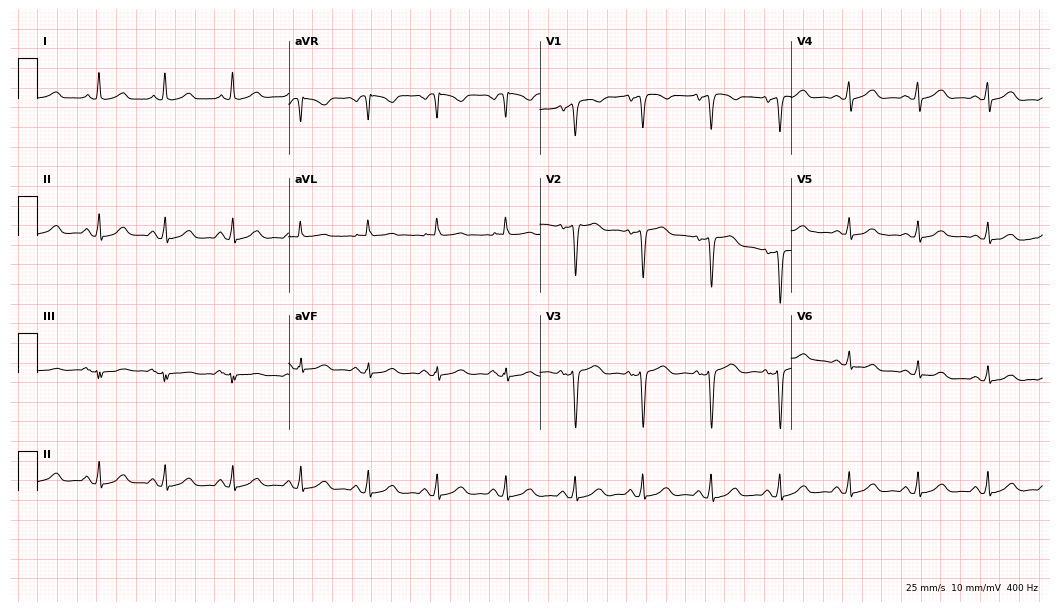
Resting 12-lead electrocardiogram. Patient: a 71-year-old woman. None of these six findings is recorded: first-degree AV block, right bundle branch block, left bundle branch block, sinus bradycardia, atrial fibrillation, sinus tachycardia. Only these six findings were labelled.